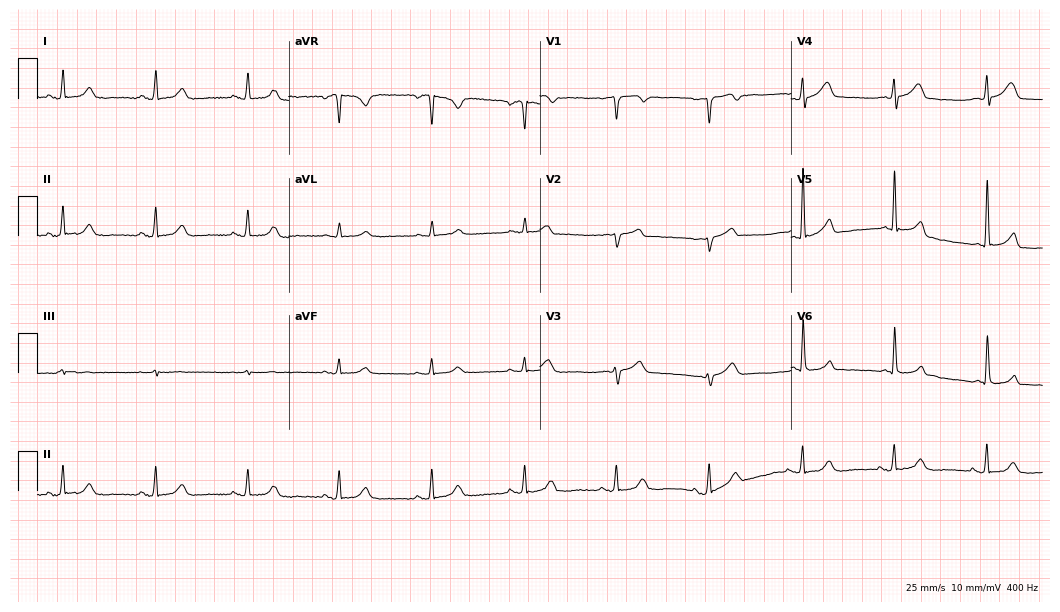
12-lead ECG (10.2-second recording at 400 Hz) from a male, 77 years old. Screened for six findings — first-degree AV block, right bundle branch block, left bundle branch block, sinus bradycardia, atrial fibrillation, sinus tachycardia — none is recorded. Findings outside these six are not listed.